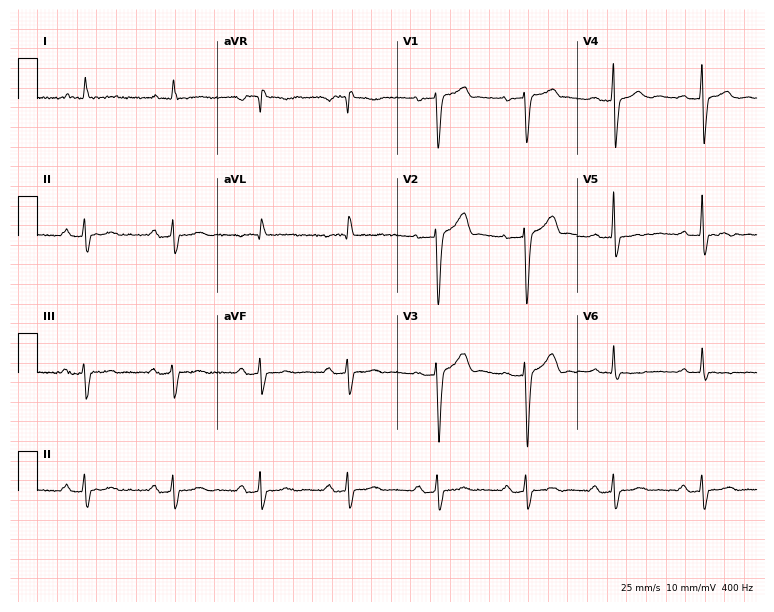
12-lead ECG from a 79-year-old female patient. Shows first-degree AV block.